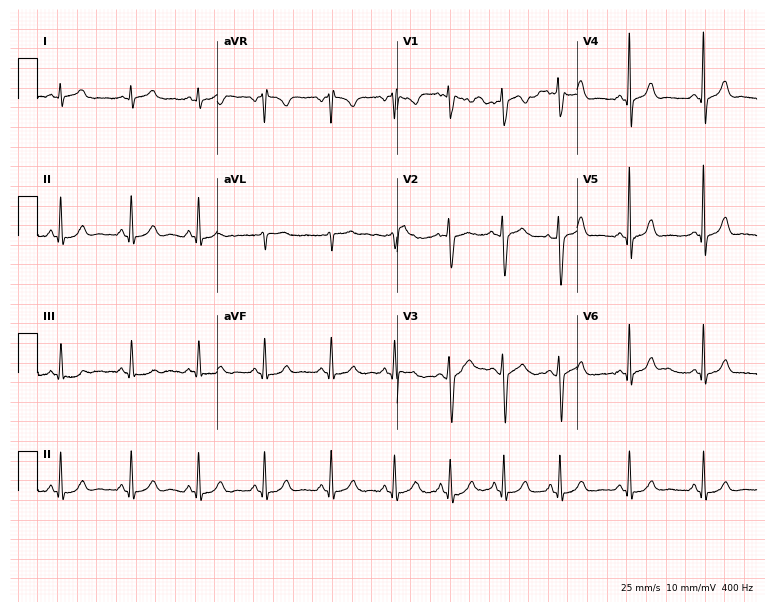
Resting 12-lead electrocardiogram (7.3-second recording at 400 Hz). Patient: a woman, 37 years old. Read as a normal ECG.